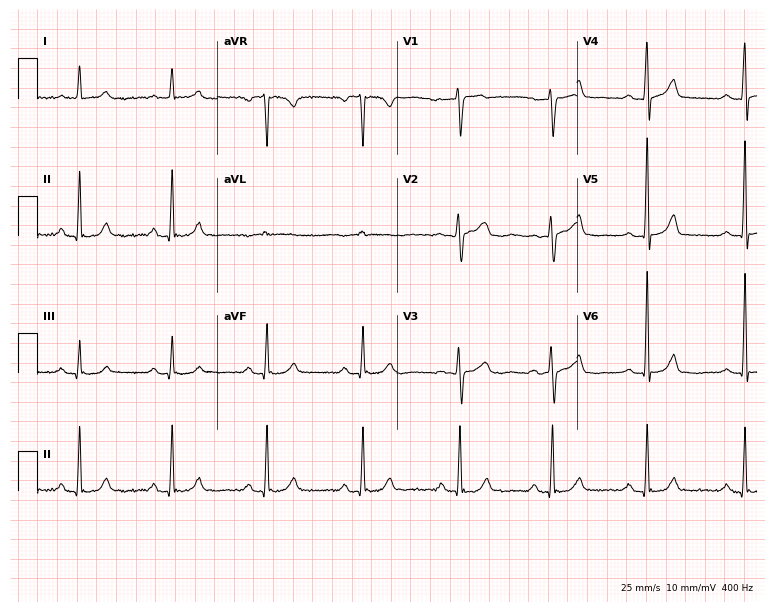
Resting 12-lead electrocardiogram. Patient: a 54-year-old female. None of these six findings is recorded: first-degree AV block, right bundle branch block, left bundle branch block, sinus bradycardia, atrial fibrillation, sinus tachycardia.